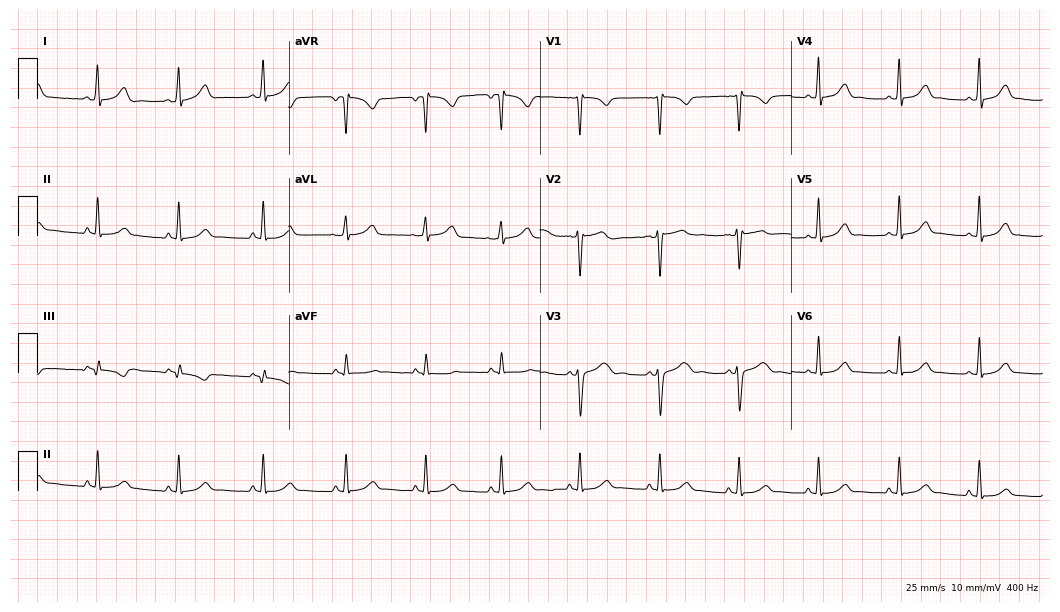
Standard 12-lead ECG recorded from a female, 30 years old. Read as a normal ECG.